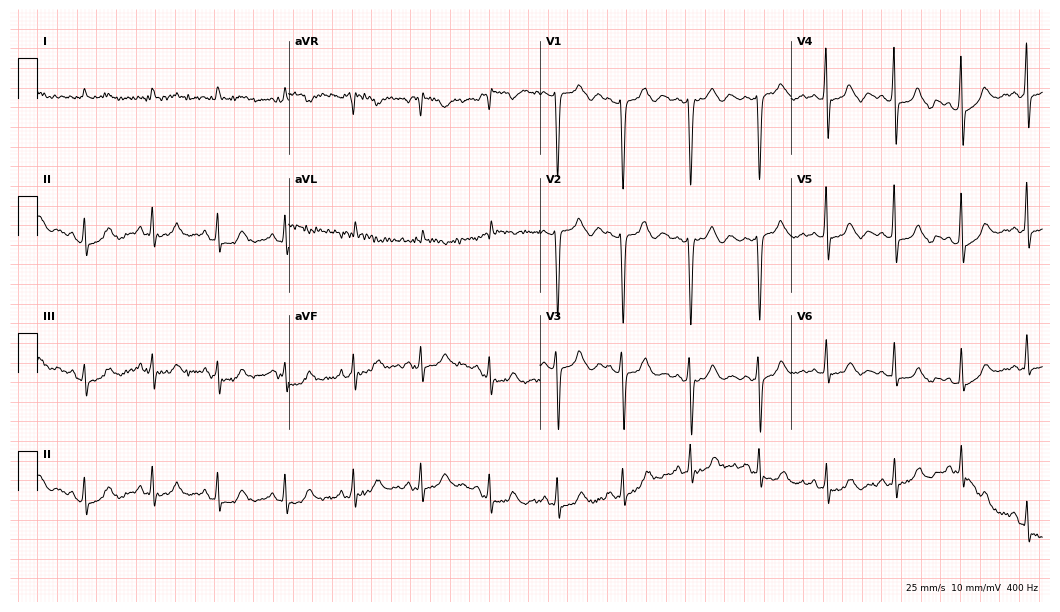
12-lead ECG from a 79-year-old woman (10.2-second recording at 400 Hz). Recorded interpretation: within normal limits.